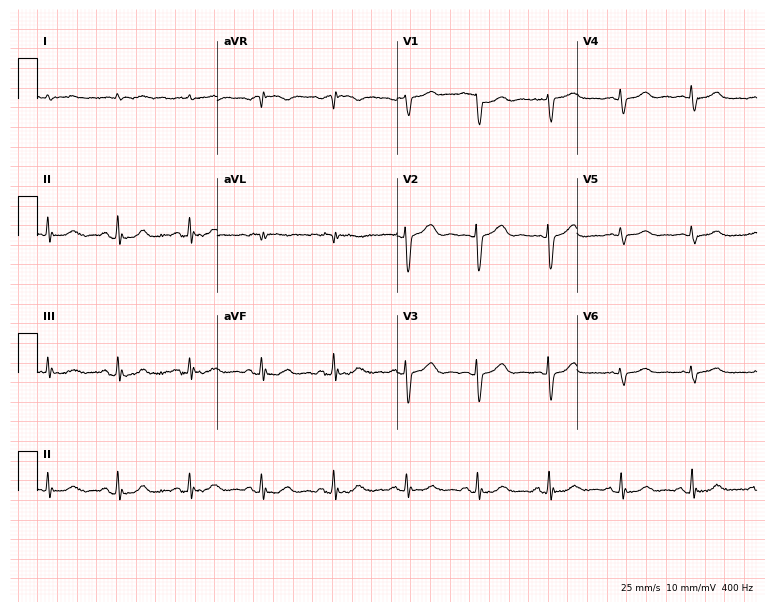
12-lead ECG from a male, 81 years old. No first-degree AV block, right bundle branch block (RBBB), left bundle branch block (LBBB), sinus bradycardia, atrial fibrillation (AF) or sinus tachycardia recorded for this tracing.